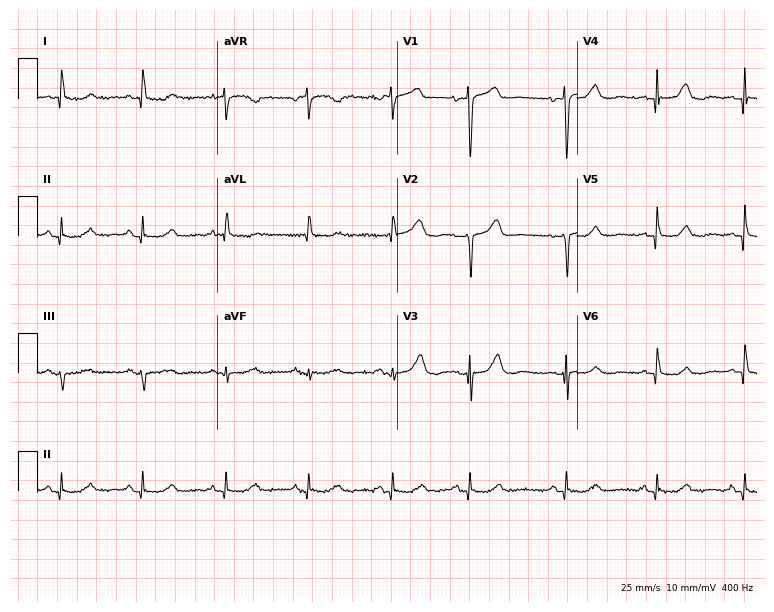
12-lead ECG from a woman, 82 years old. No first-degree AV block, right bundle branch block (RBBB), left bundle branch block (LBBB), sinus bradycardia, atrial fibrillation (AF) or sinus tachycardia recorded for this tracing. Only these six findings were labelled.